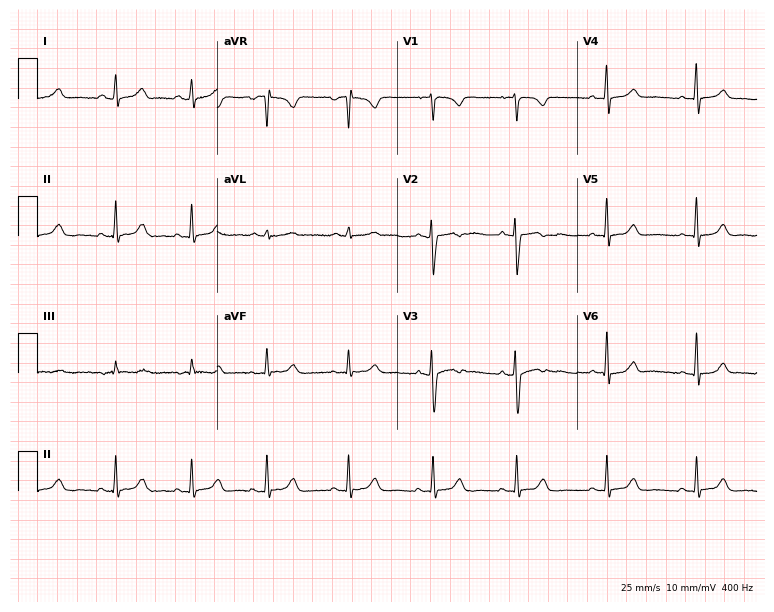
12-lead ECG from a female patient, 26 years old. Recorded interpretation: within normal limits.